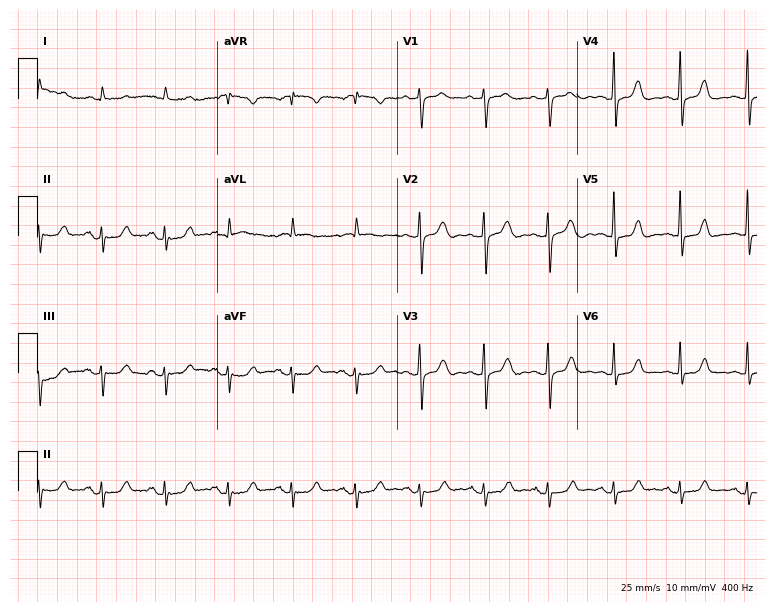
Standard 12-lead ECG recorded from a woman, 80 years old (7.3-second recording at 400 Hz). None of these six findings is recorded: first-degree AV block, right bundle branch block (RBBB), left bundle branch block (LBBB), sinus bradycardia, atrial fibrillation (AF), sinus tachycardia.